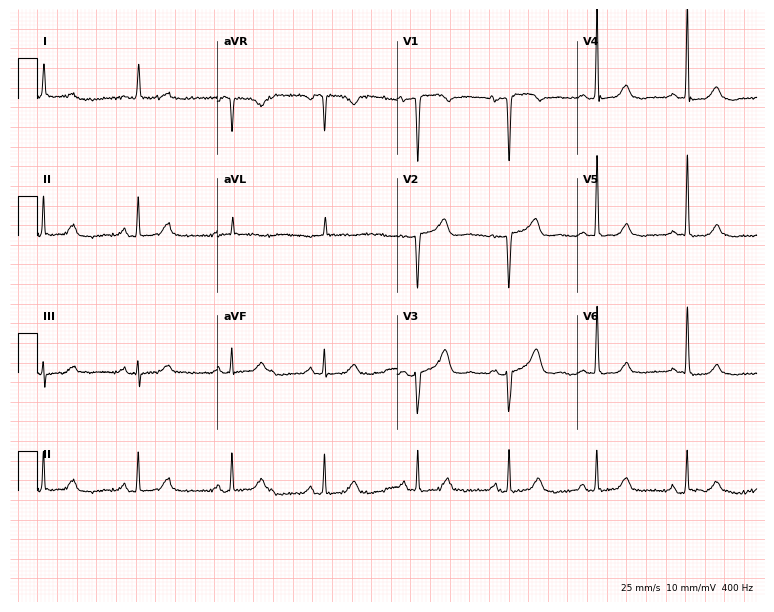
Standard 12-lead ECG recorded from a female patient, 75 years old (7.3-second recording at 400 Hz). Read as a normal ECG.